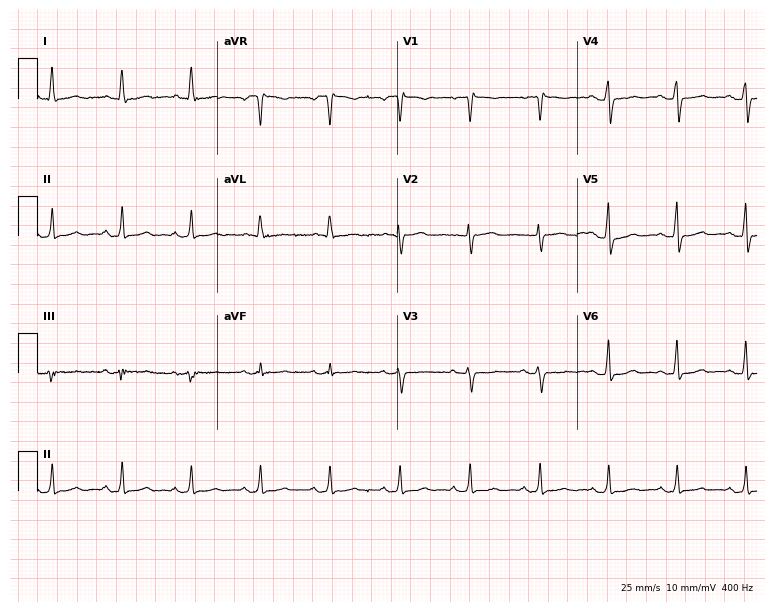
Electrocardiogram, a female patient, 60 years old. Of the six screened findings (first-degree AV block, right bundle branch block (RBBB), left bundle branch block (LBBB), sinus bradycardia, atrial fibrillation (AF), sinus tachycardia), none is recorded. Other findings, if any, are not listed.